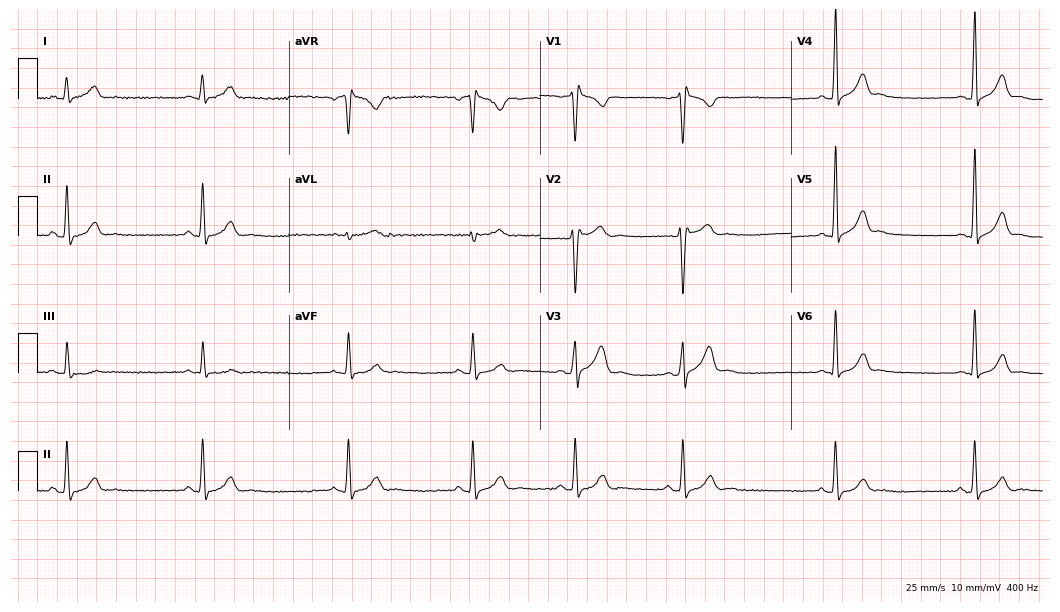
12-lead ECG from a male patient, 28 years old. Screened for six findings — first-degree AV block, right bundle branch block, left bundle branch block, sinus bradycardia, atrial fibrillation, sinus tachycardia — none is recorded.